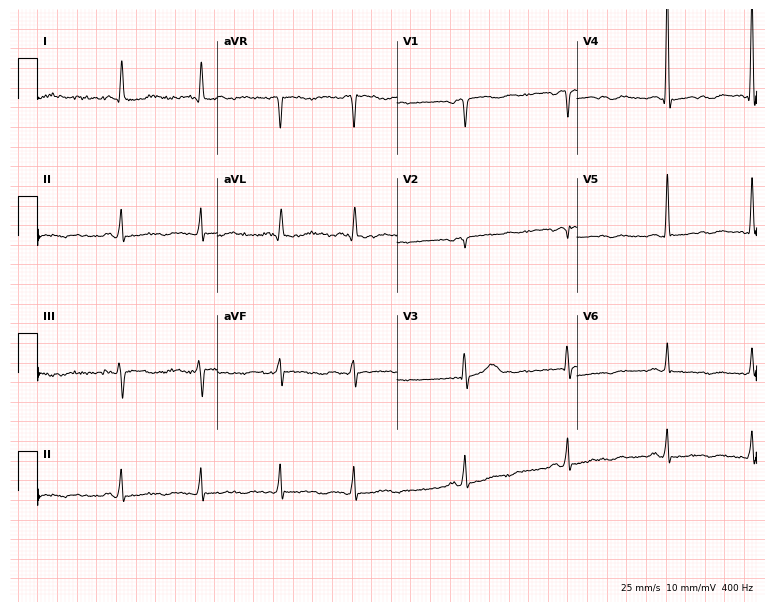
Electrocardiogram, a female, 84 years old. Of the six screened findings (first-degree AV block, right bundle branch block, left bundle branch block, sinus bradycardia, atrial fibrillation, sinus tachycardia), none is recorded. Only these six findings were labelled.